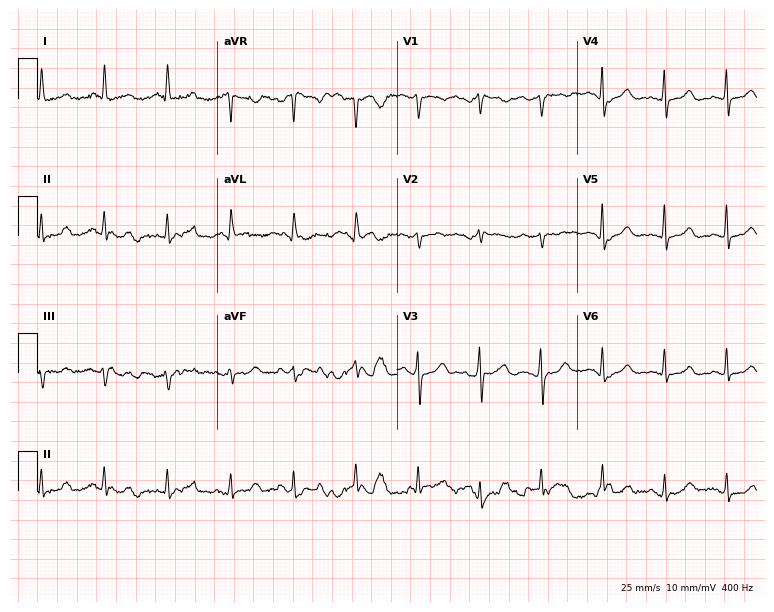
12-lead ECG from a 61-year-old woman (7.3-second recording at 400 Hz). No first-degree AV block, right bundle branch block, left bundle branch block, sinus bradycardia, atrial fibrillation or sinus tachycardia recorded for this tracing. Only these six findings were labelled.